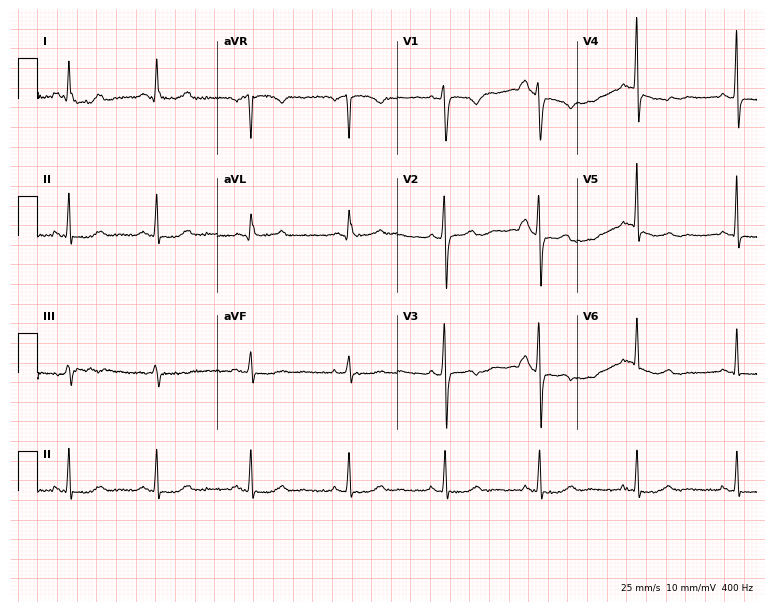
Standard 12-lead ECG recorded from a woman, 54 years old. None of these six findings is recorded: first-degree AV block, right bundle branch block, left bundle branch block, sinus bradycardia, atrial fibrillation, sinus tachycardia. Other findings, if any, are not listed.